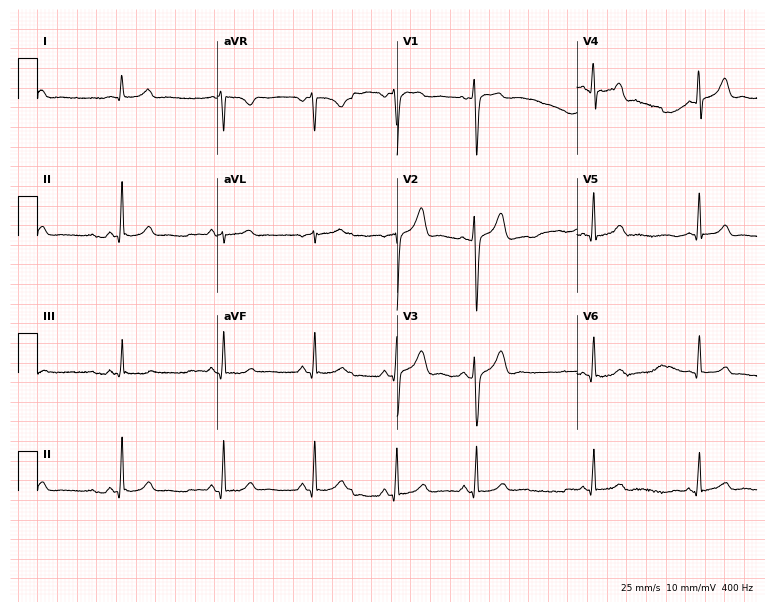
ECG (7.3-second recording at 400 Hz) — a 25-year-old male patient. Labelled as a normal ECG.